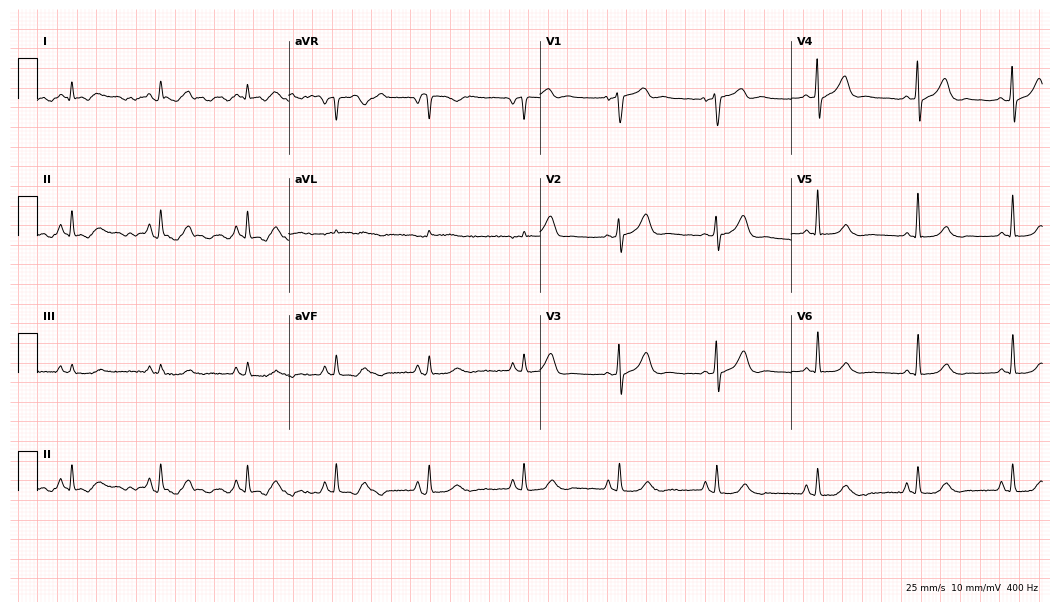
Electrocardiogram, a male, 65 years old. Of the six screened findings (first-degree AV block, right bundle branch block, left bundle branch block, sinus bradycardia, atrial fibrillation, sinus tachycardia), none is recorded.